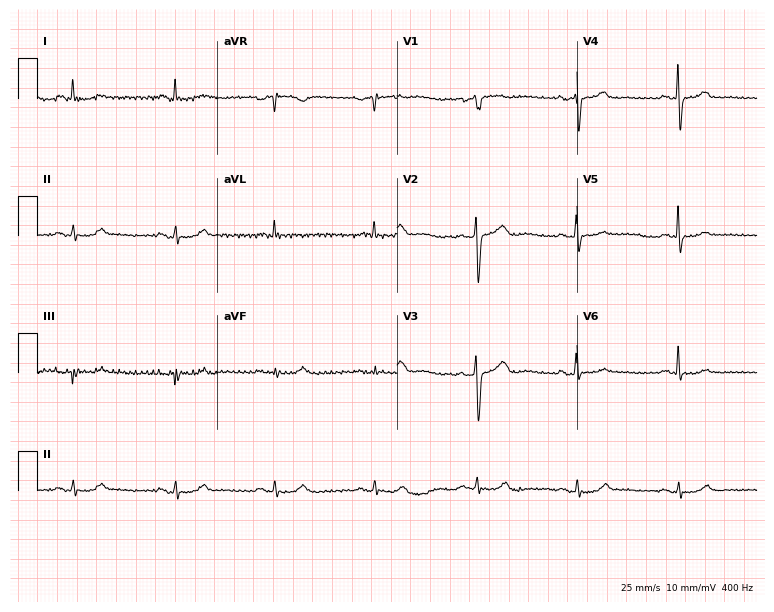
12-lead ECG from a 71-year-old female patient (7.3-second recording at 400 Hz). Recorded interpretation: within normal limits.